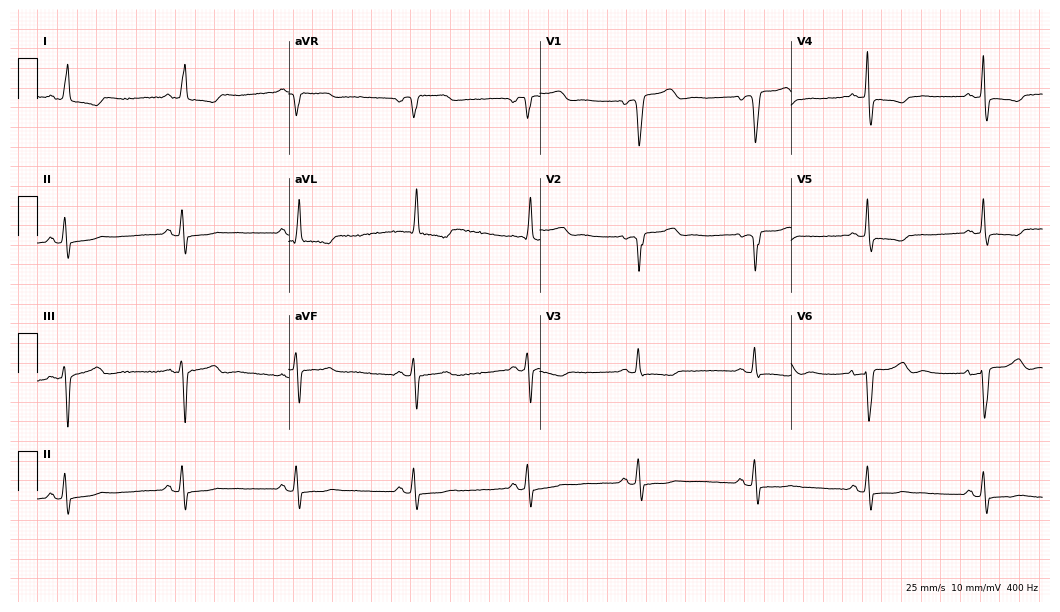
12-lead ECG (10.2-second recording at 400 Hz) from a woman, 80 years old. Screened for six findings — first-degree AV block, right bundle branch block, left bundle branch block, sinus bradycardia, atrial fibrillation, sinus tachycardia — none is recorded. Findings outside these six are not listed.